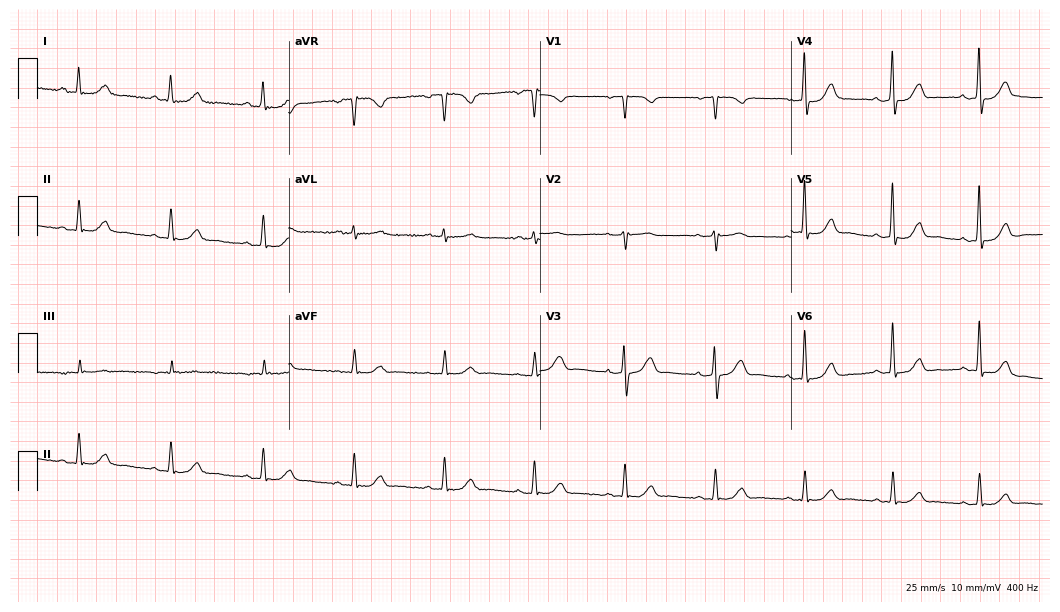
12-lead ECG from a male patient, 61 years old. Labelled as a normal ECG.